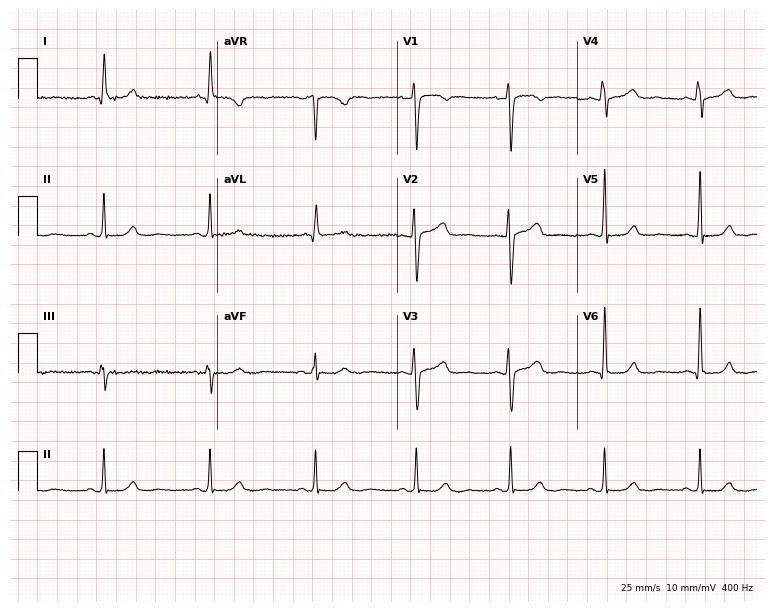
12-lead ECG from a 50-year-old female patient. No first-degree AV block, right bundle branch block, left bundle branch block, sinus bradycardia, atrial fibrillation or sinus tachycardia recorded for this tracing. Other findings, if any, are not listed.